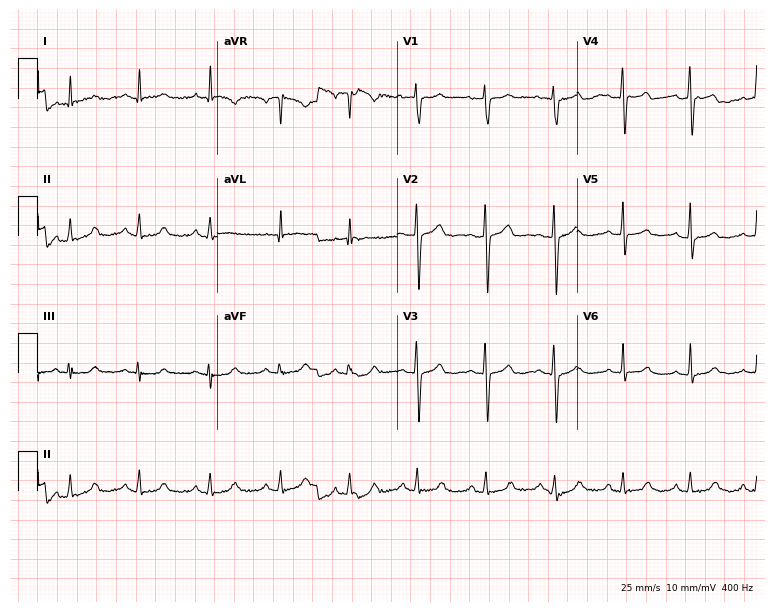
12-lead ECG from a 30-year-old female. Recorded interpretation: within normal limits.